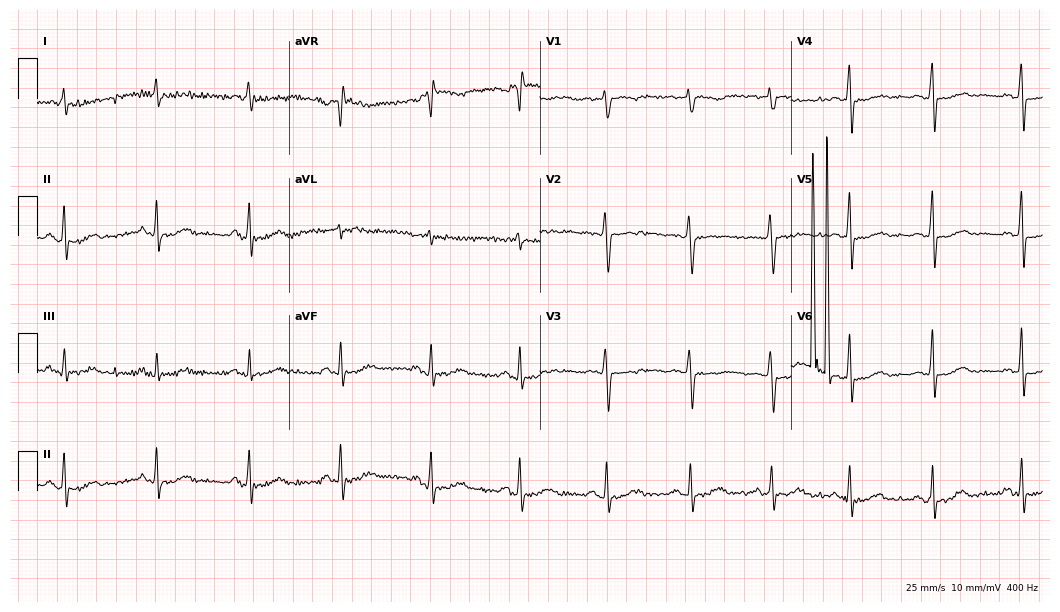
12-lead ECG (10.2-second recording at 400 Hz) from a female, 43 years old. Screened for six findings — first-degree AV block, right bundle branch block, left bundle branch block, sinus bradycardia, atrial fibrillation, sinus tachycardia — none is recorded.